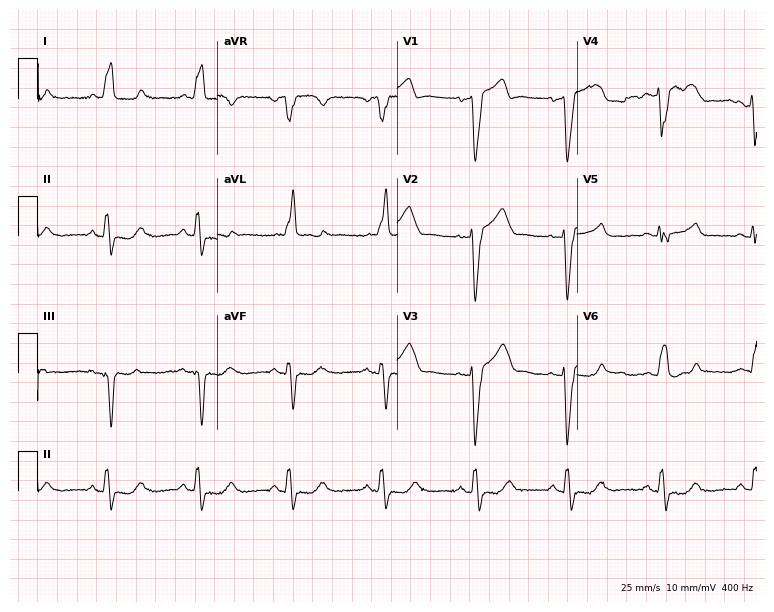
12-lead ECG from a female, 70 years old (7.3-second recording at 400 Hz). No first-degree AV block, right bundle branch block, left bundle branch block, sinus bradycardia, atrial fibrillation or sinus tachycardia recorded for this tracing.